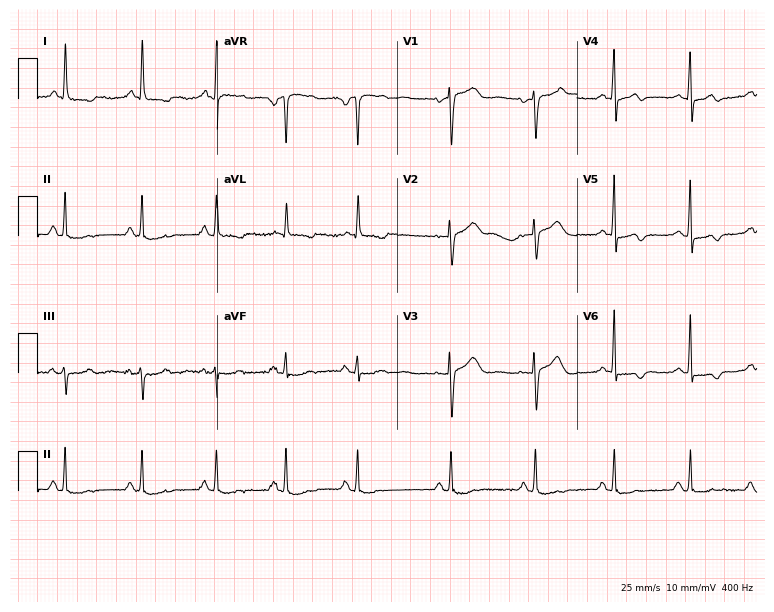
12-lead ECG from a woman, 73 years old (7.3-second recording at 400 Hz). No first-degree AV block, right bundle branch block (RBBB), left bundle branch block (LBBB), sinus bradycardia, atrial fibrillation (AF) or sinus tachycardia recorded for this tracing. Other findings, if any, are not listed.